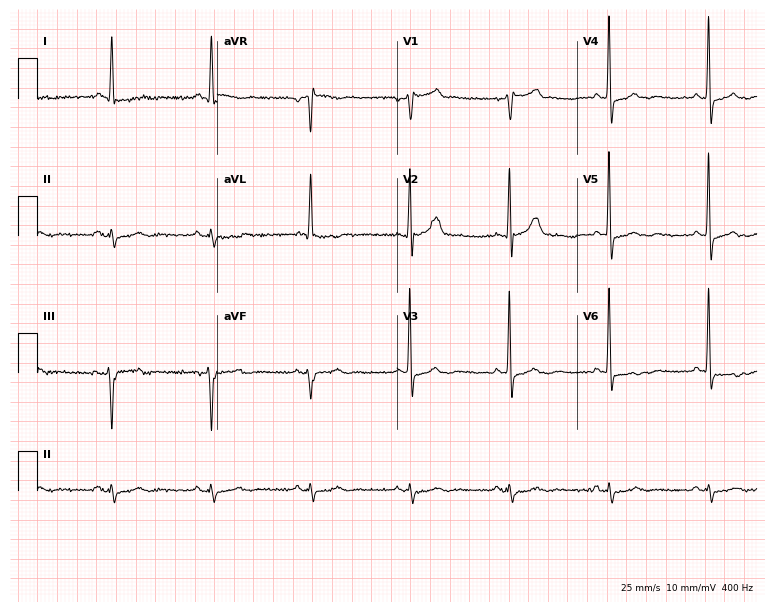
Standard 12-lead ECG recorded from a man, 80 years old. None of these six findings is recorded: first-degree AV block, right bundle branch block (RBBB), left bundle branch block (LBBB), sinus bradycardia, atrial fibrillation (AF), sinus tachycardia.